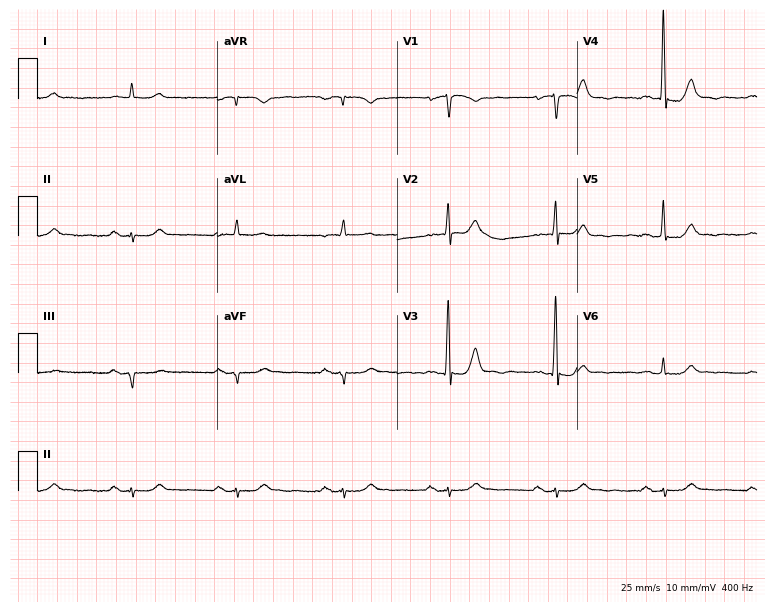
12-lead ECG from an 82-year-old man. No first-degree AV block, right bundle branch block, left bundle branch block, sinus bradycardia, atrial fibrillation or sinus tachycardia recorded for this tracing.